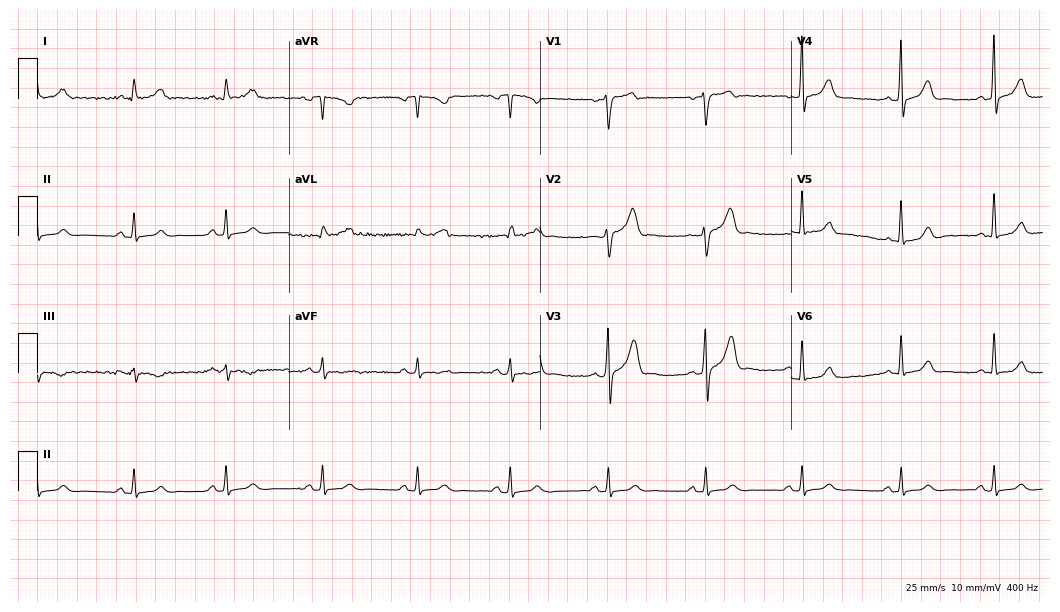
Electrocardiogram (10.2-second recording at 400 Hz), a man, 58 years old. Of the six screened findings (first-degree AV block, right bundle branch block, left bundle branch block, sinus bradycardia, atrial fibrillation, sinus tachycardia), none is recorded. Other findings, if any, are not listed.